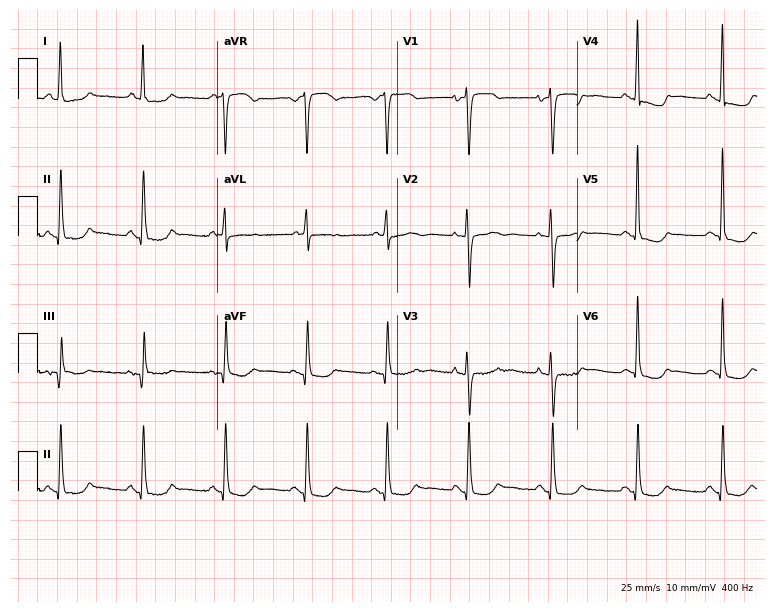
12-lead ECG from a 69-year-old female patient. Screened for six findings — first-degree AV block, right bundle branch block, left bundle branch block, sinus bradycardia, atrial fibrillation, sinus tachycardia — none is recorded. Other findings, if any, are not listed.